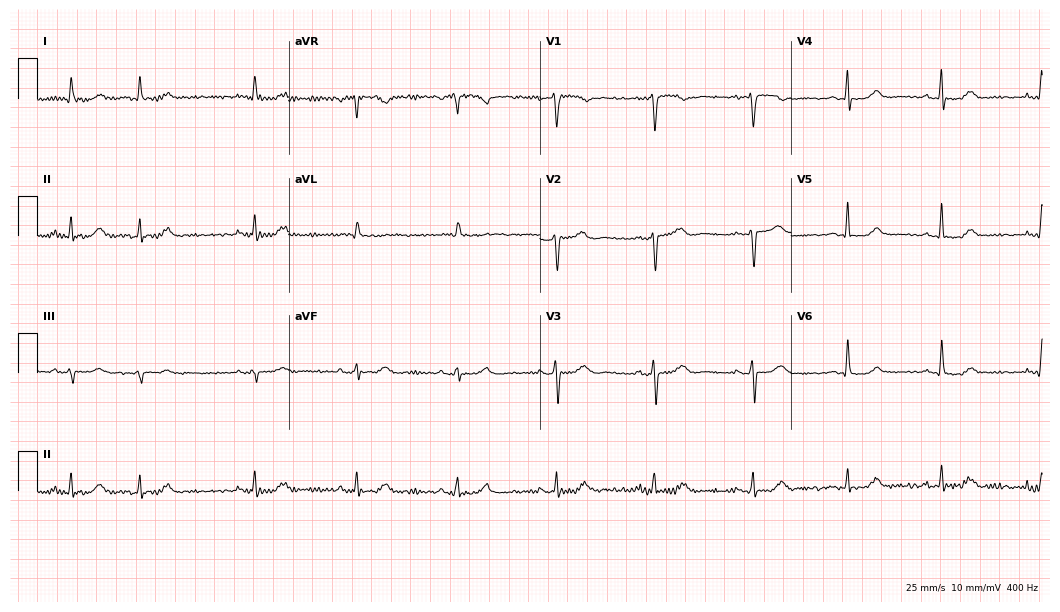
12-lead ECG from a female, 71 years old. Recorded interpretation: within normal limits.